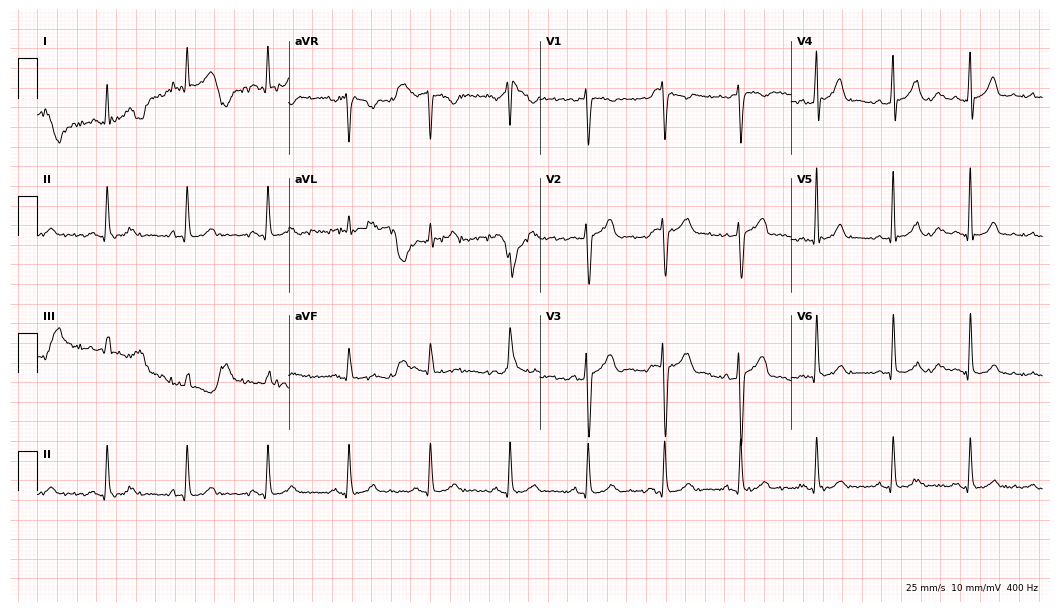
12-lead ECG from a 42-year-old male. Recorded interpretation: within normal limits.